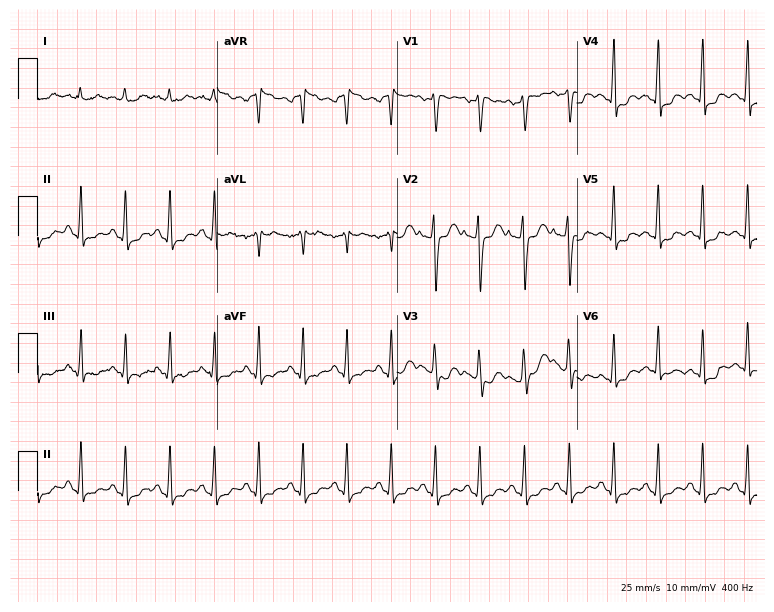
ECG (7.3-second recording at 400 Hz) — a female patient, 33 years old. Findings include sinus tachycardia (a sinus rate of 100 beats per minute or more).